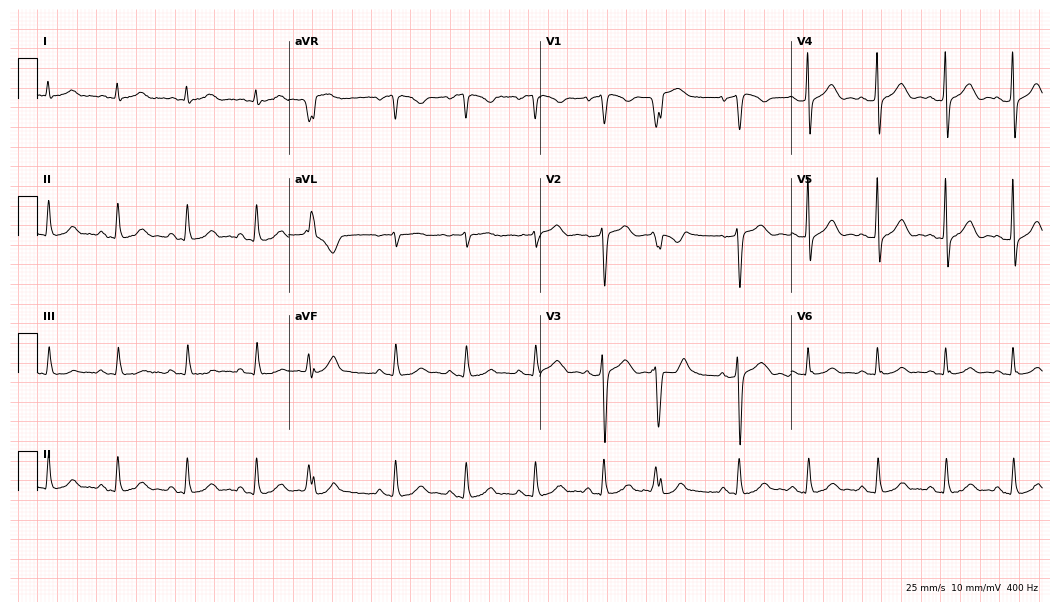
Electrocardiogram (10.2-second recording at 400 Hz), an 85-year-old male. Of the six screened findings (first-degree AV block, right bundle branch block, left bundle branch block, sinus bradycardia, atrial fibrillation, sinus tachycardia), none is recorded.